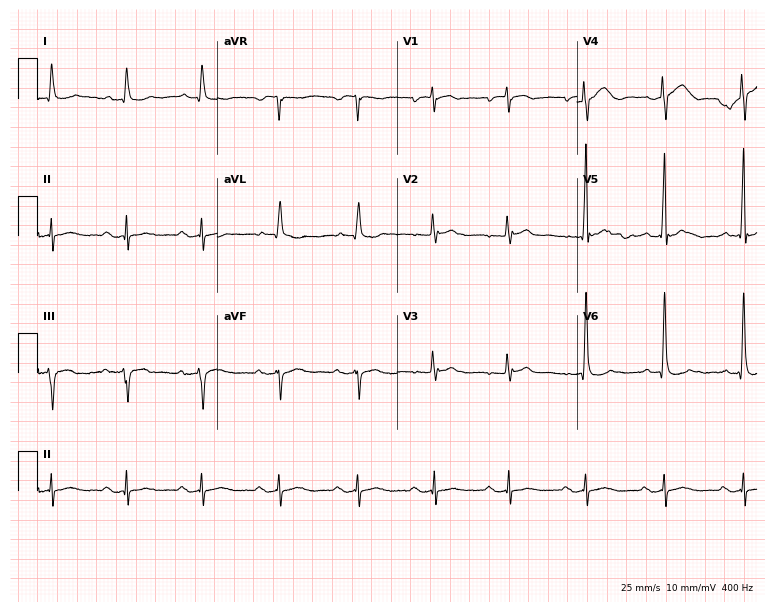
Standard 12-lead ECG recorded from an 81-year-old male. Read as a normal ECG.